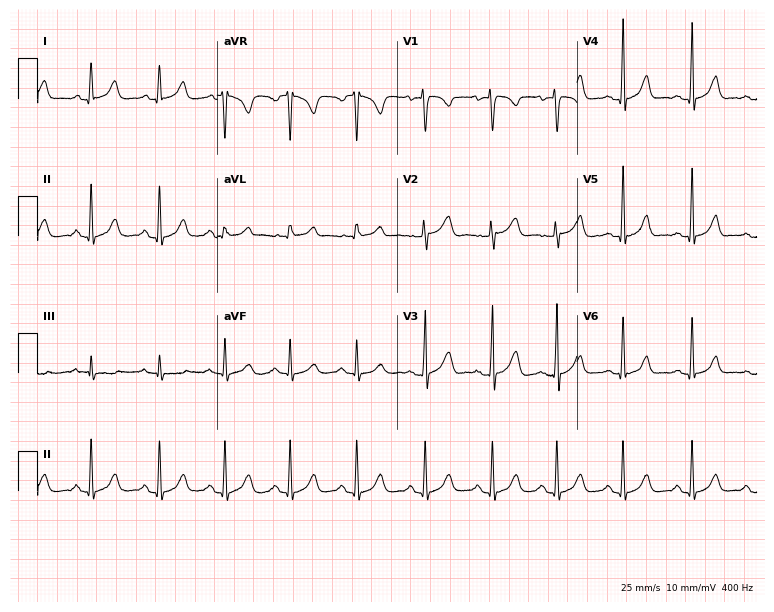
Standard 12-lead ECG recorded from a 32-year-old female patient (7.3-second recording at 400 Hz). Read as a normal ECG.